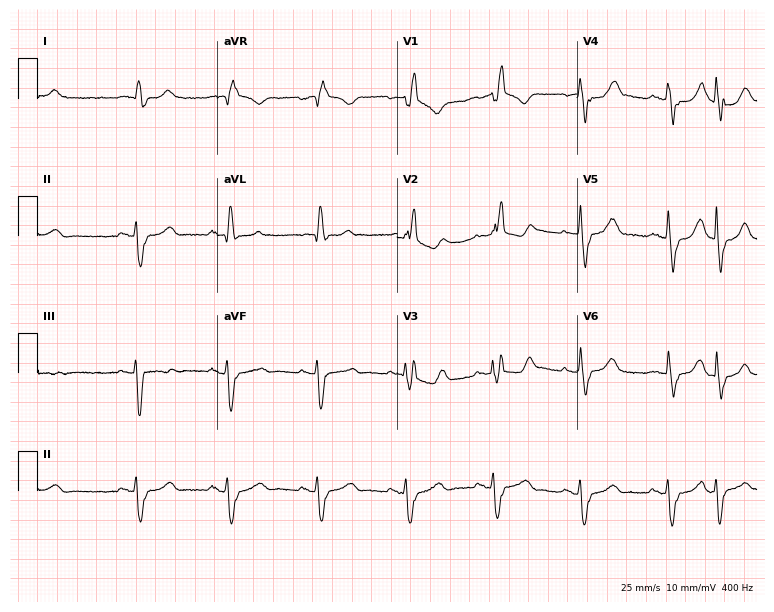
12-lead ECG from an 85-year-old male. Findings include right bundle branch block.